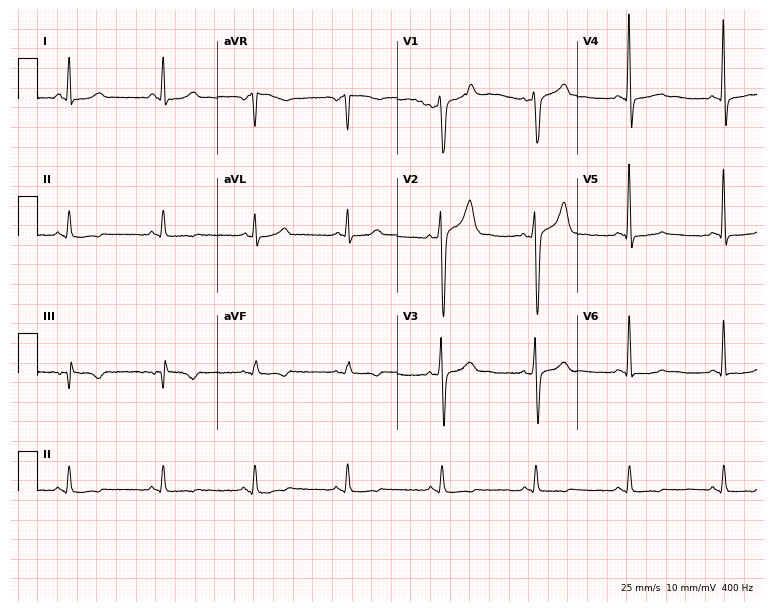
Electrocardiogram, a man, 55 years old. Of the six screened findings (first-degree AV block, right bundle branch block (RBBB), left bundle branch block (LBBB), sinus bradycardia, atrial fibrillation (AF), sinus tachycardia), none is recorded. Other findings, if any, are not listed.